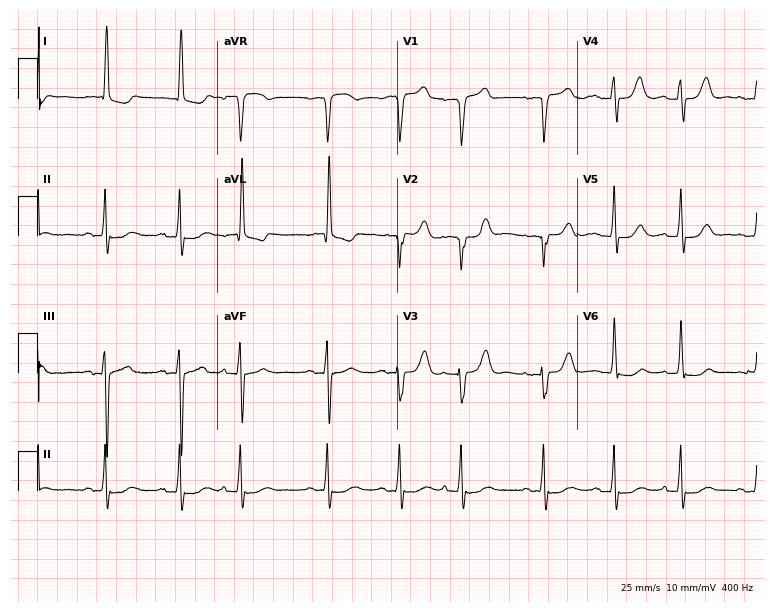
Standard 12-lead ECG recorded from an 84-year-old female (7.3-second recording at 400 Hz). None of these six findings is recorded: first-degree AV block, right bundle branch block (RBBB), left bundle branch block (LBBB), sinus bradycardia, atrial fibrillation (AF), sinus tachycardia. Only these six findings were labelled.